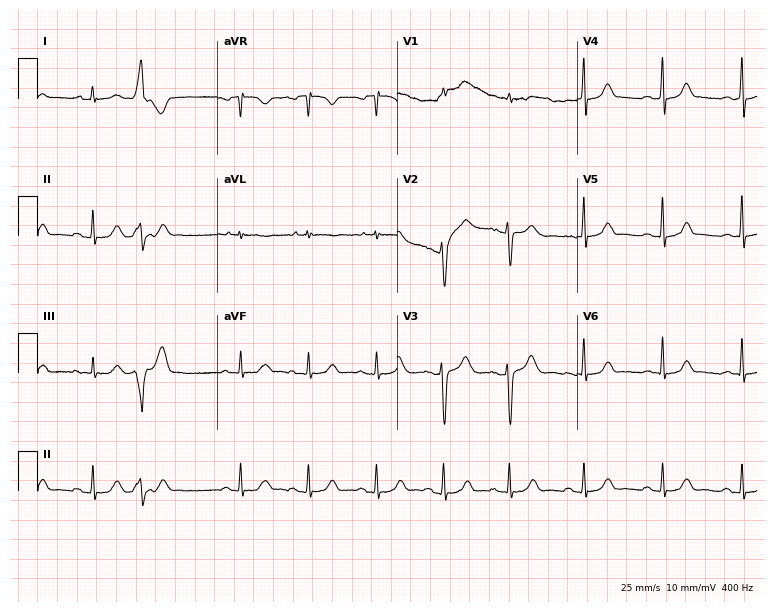
12-lead ECG from a 31-year-old female patient. Labelled as a normal ECG.